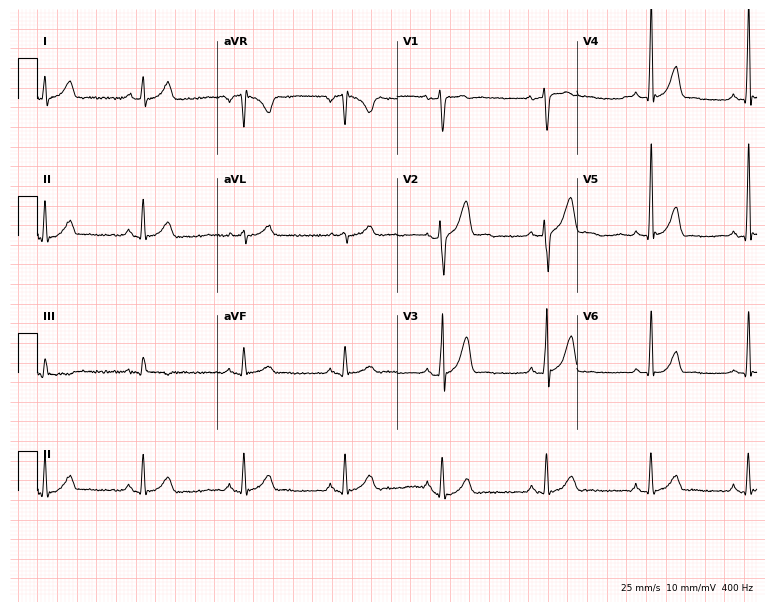
12-lead ECG from a 31-year-old male patient (7.3-second recording at 400 Hz). Recorded interpretation: within normal limits.